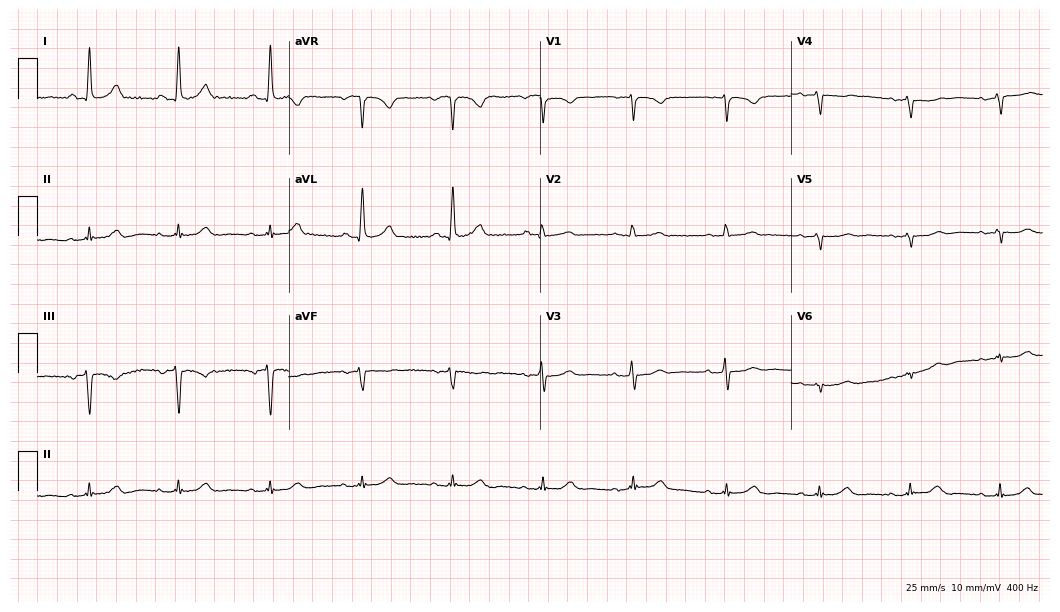
Electrocardiogram (10.2-second recording at 400 Hz), a female, 67 years old. Of the six screened findings (first-degree AV block, right bundle branch block (RBBB), left bundle branch block (LBBB), sinus bradycardia, atrial fibrillation (AF), sinus tachycardia), none is recorded. Only these six findings were labelled.